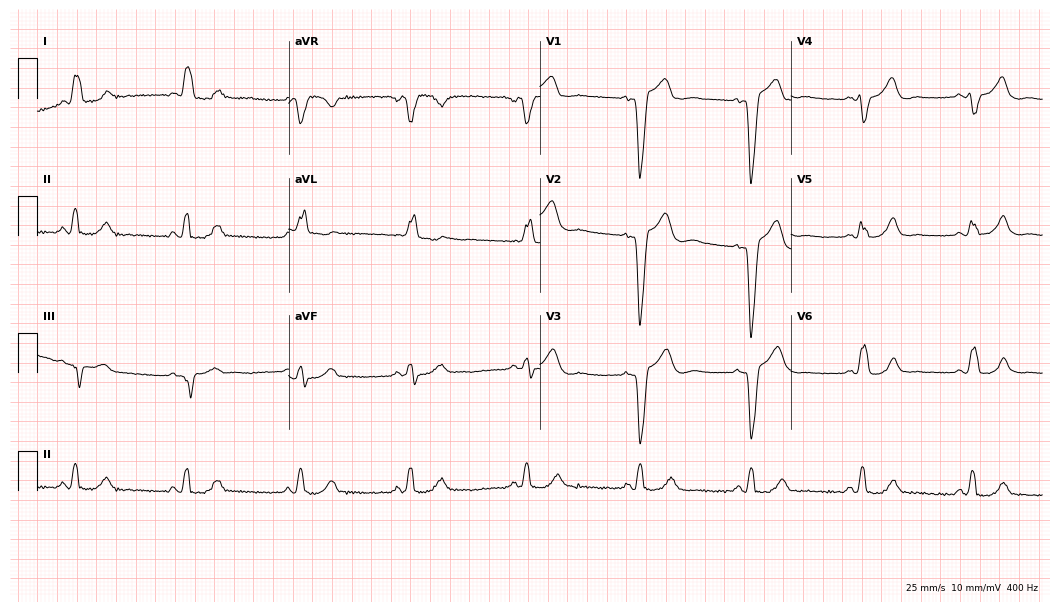
Electrocardiogram (10.2-second recording at 400 Hz), a woman, 67 years old. Interpretation includes left bundle branch block.